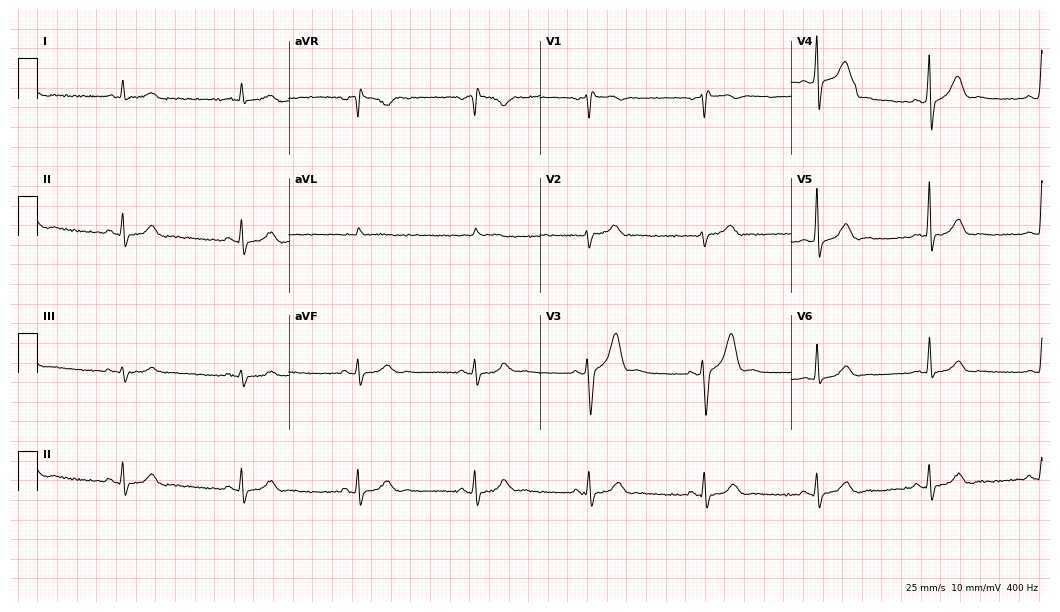
ECG — a 62-year-old male patient. Screened for six findings — first-degree AV block, right bundle branch block (RBBB), left bundle branch block (LBBB), sinus bradycardia, atrial fibrillation (AF), sinus tachycardia — none is recorded. Other findings, if any, are not listed.